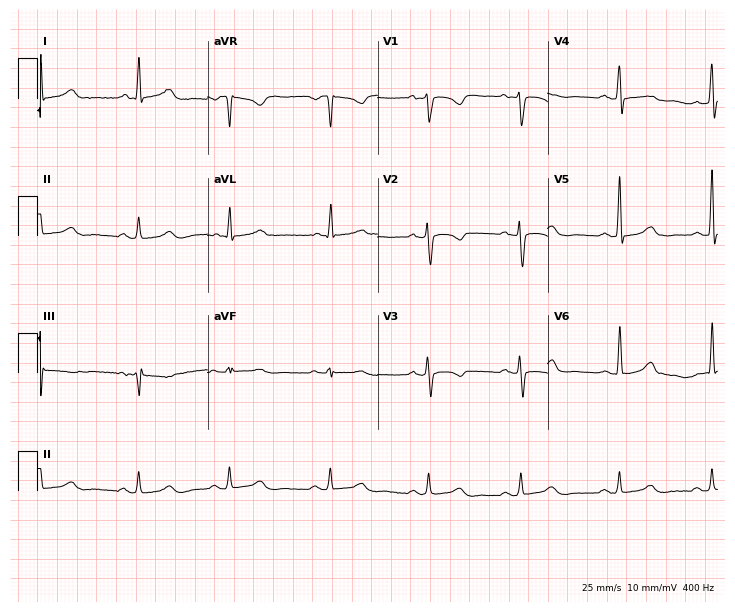
Resting 12-lead electrocardiogram (6.9-second recording at 400 Hz). Patient: a 40-year-old female. Read as a normal ECG.